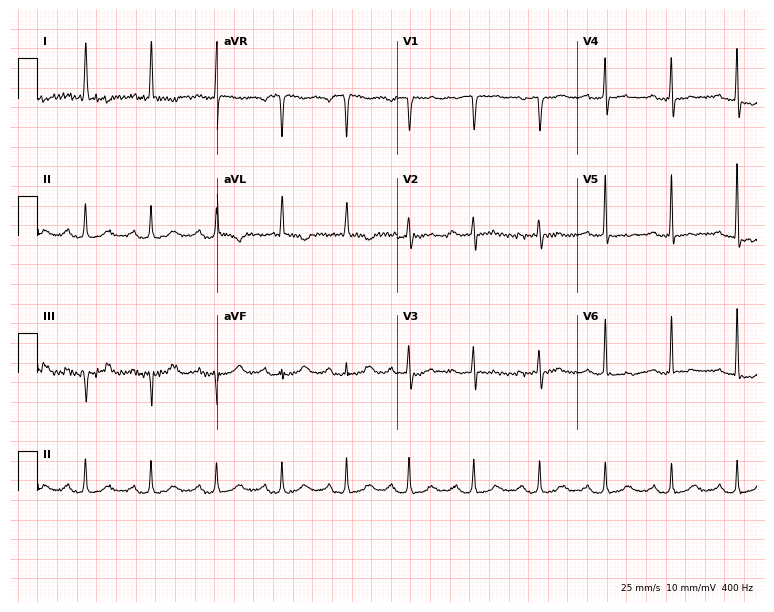
Standard 12-lead ECG recorded from a female patient, 71 years old. None of these six findings is recorded: first-degree AV block, right bundle branch block, left bundle branch block, sinus bradycardia, atrial fibrillation, sinus tachycardia.